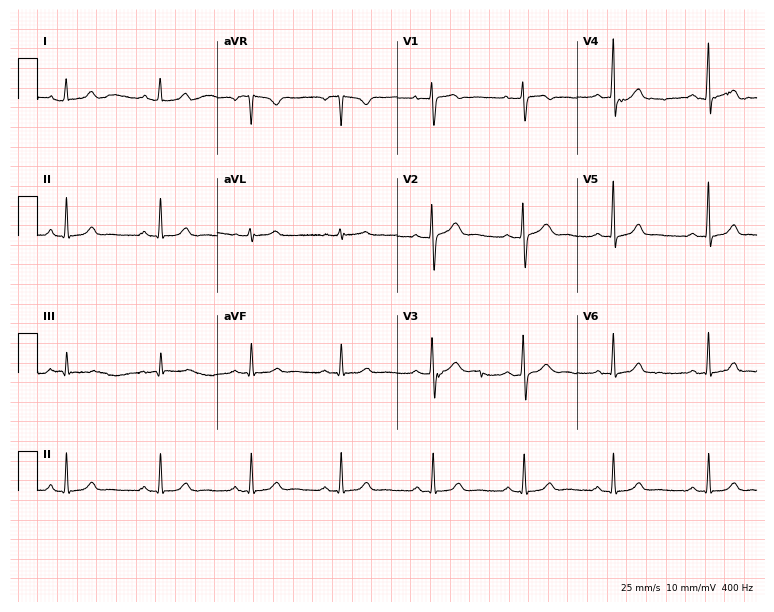
Electrocardiogram, a female patient, 31 years old. Of the six screened findings (first-degree AV block, right bundle branch block, left bundle branch block, sinus bradycardia, atrial fibrillation, sinus tachycardia), none is recorded. Only these six findings were labelled.